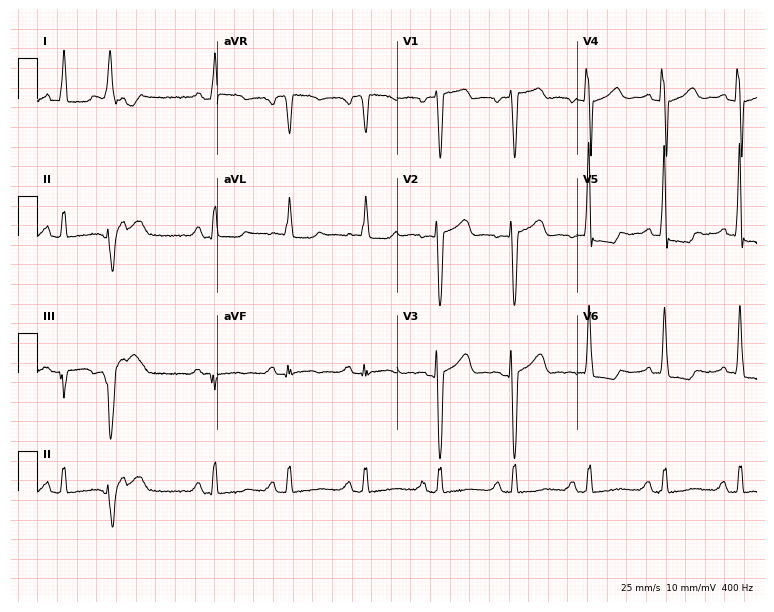
Electrocardiogram (7.3-second recording at 400 Hz), a 72-year-old woman. Of the six screened findings (first-degree AV block, right bundle branch block (RBBB), left bundle branch block (LBBB), sinus bradycardia, atrial fibrillation (AF), sinus tachycardia), none is recorded.